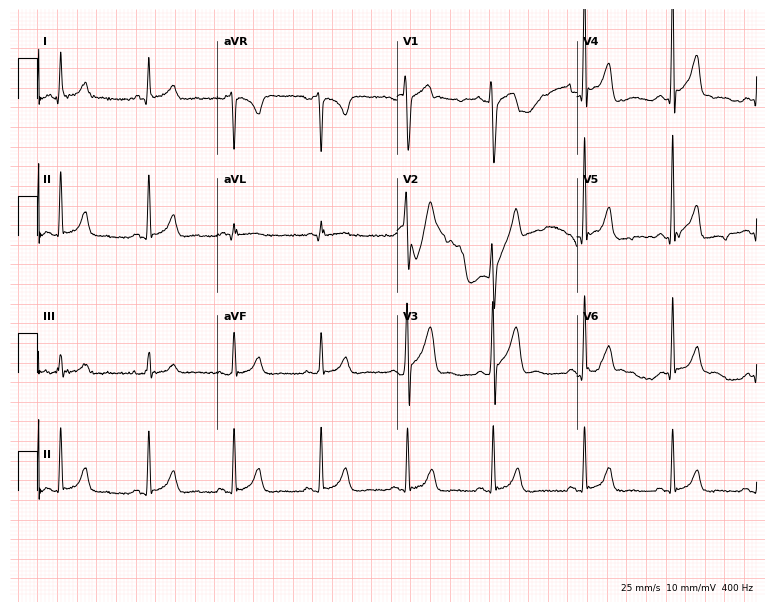
12-lead ECG from a male, 37 years old. No first-degree AV block, right bundle branch block (RBBB), left bundle branch block (LBBB), sinus bradycardia, atrial fibrillation (AF) or sinus tachycardia recorded for this tracing. Only these six findings were labelled.